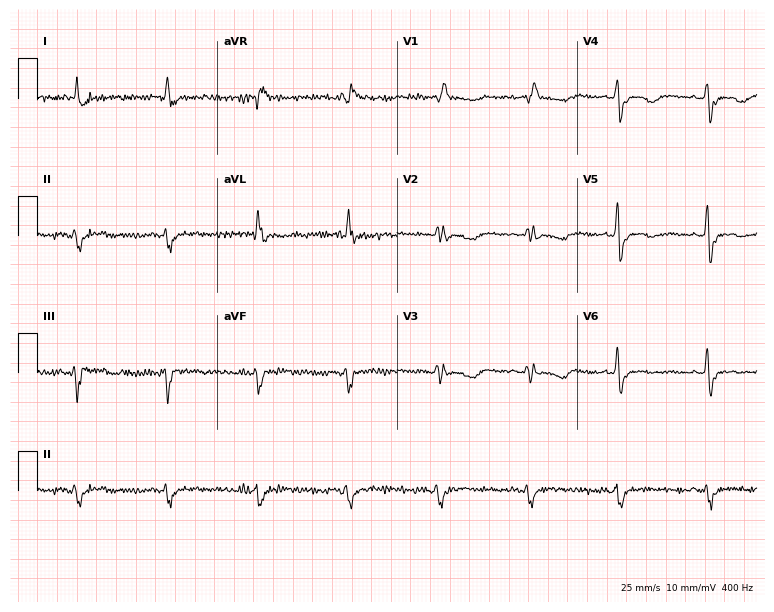
12-lead ECG (7.3-second recording at 400 Hz) from a female, 69 years old. Screened for six findings — first-degree AV block, right bundle branch block (RBBB), left bundle branch block (LBBB), sinus bradycardia, atrial fibrillation (AF), sinus tachycardia — none is recorded. Other findings, if any, are not listed.